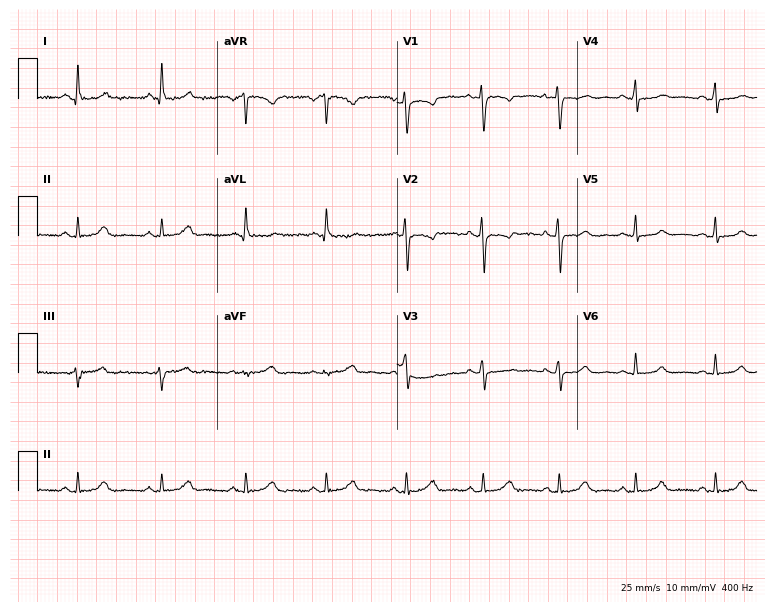
Electrocardiogram, a woman, 33 years old. Overall reading on record: normal ECG.